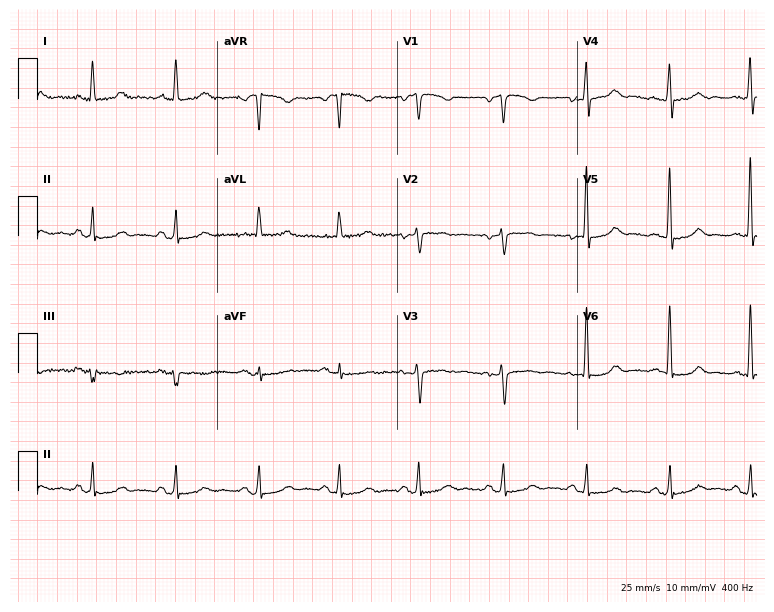
Electrocardiogram (7.3-second recording at 400 Hz), a 61-year-old female patient. Of the six screened findings (first-degree AV block, right bundle branch block (RBBB), left bundle branch block (LBBB), sinus bradycardia, atrial fibrillation (AF), sinus tachycardia), none is recorded. Only these six findings were labelled.